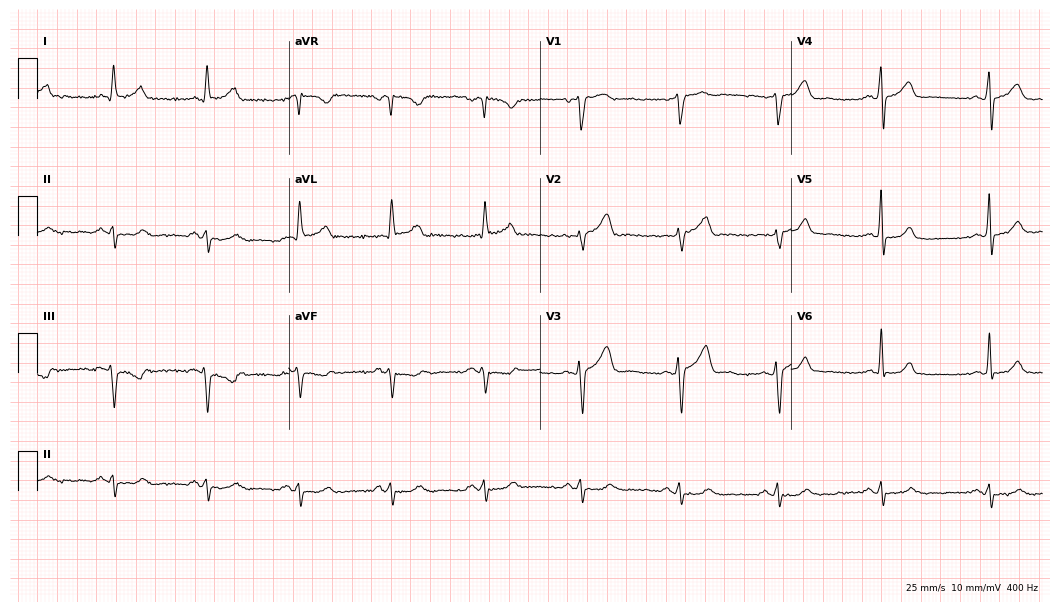
Resting 12-lead electrocardiogram. Patient: a male, 53 years old. None of these six findings is recorded: first-degree AV block, right bundle branch block, left bundle branch block, sinus bradycardia, atrial fibrillation, sinus tachycardia.